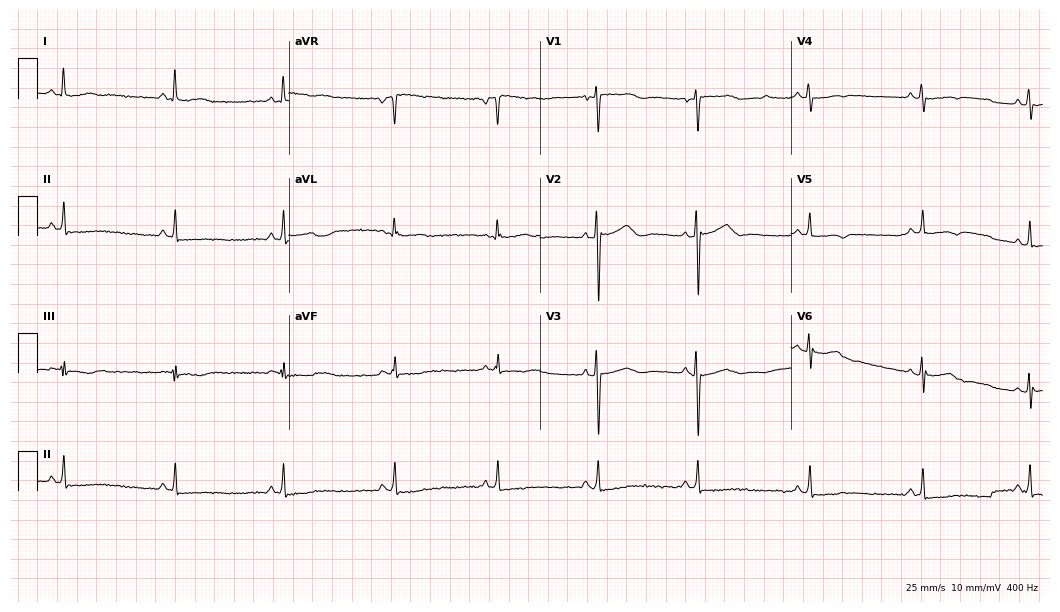
12-lead ECG from a 31-year-old female. Screened for six findings — first-degree AV block, right bundle branch block, left bundle branch block, sinus bradycardia, atrial fibrillation, sinus tachycardia — none is recorded.